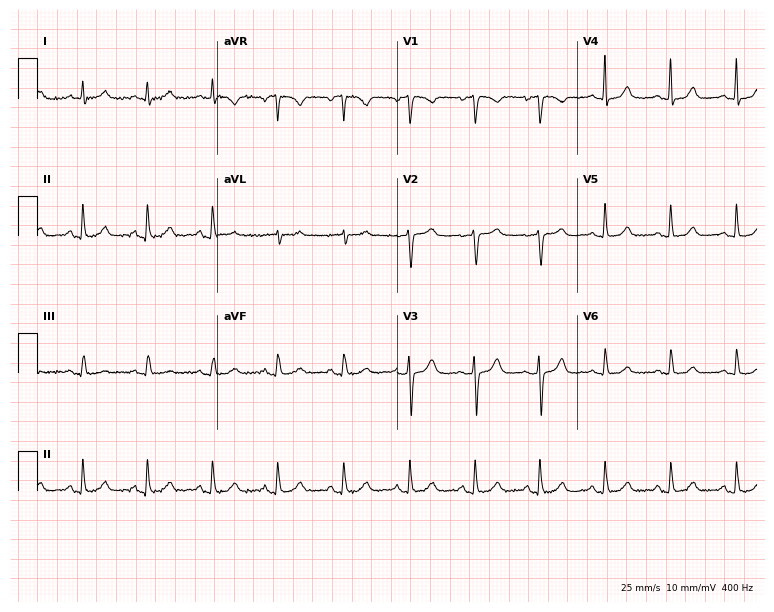
12-lead ECG (7.3-second recording at 400 Hz) from a female patient, 39 years old. Labelled as a normal ECG.